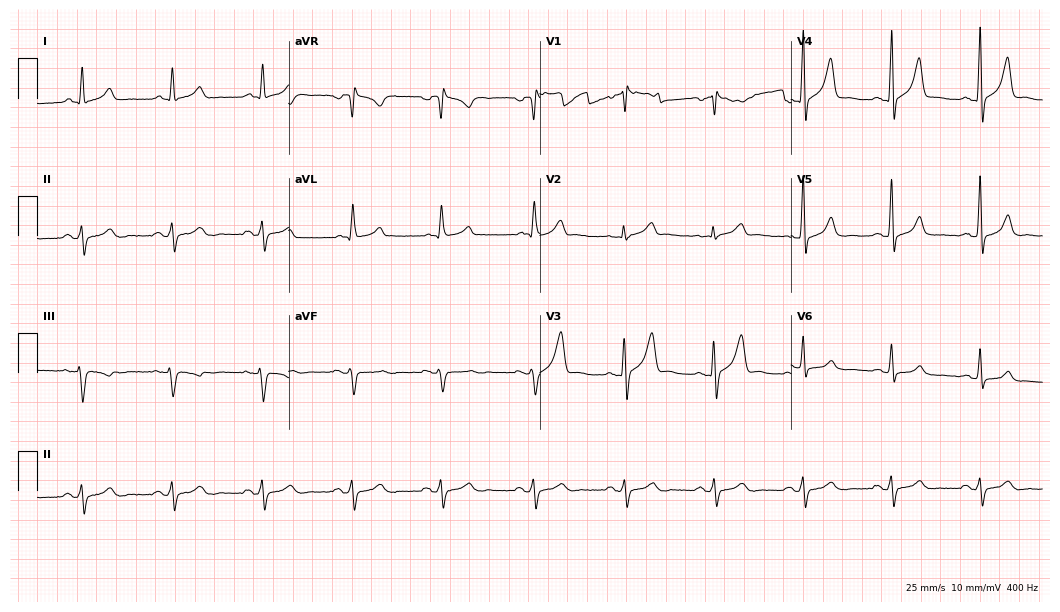
12-lead ECG from a 58-year-old male. Screened for six findings — first-degree AV block, right bundle branch block, left bundle branch block, sinus bradycardia, atrial fibrillation, sinus tachycardia — none is recorded.